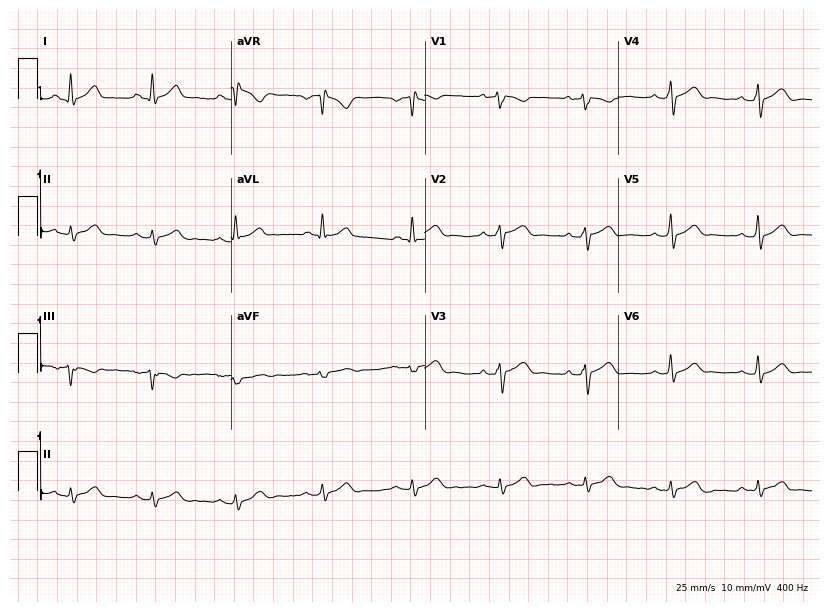
12-lead ECG from a 41-year-old male patient. Screened for six findings — first-degree AV block, right bundle branch block, left bundle branch block, sinus bradycardia, atrial fibrillation, sinus tachycardia — none is recorded.